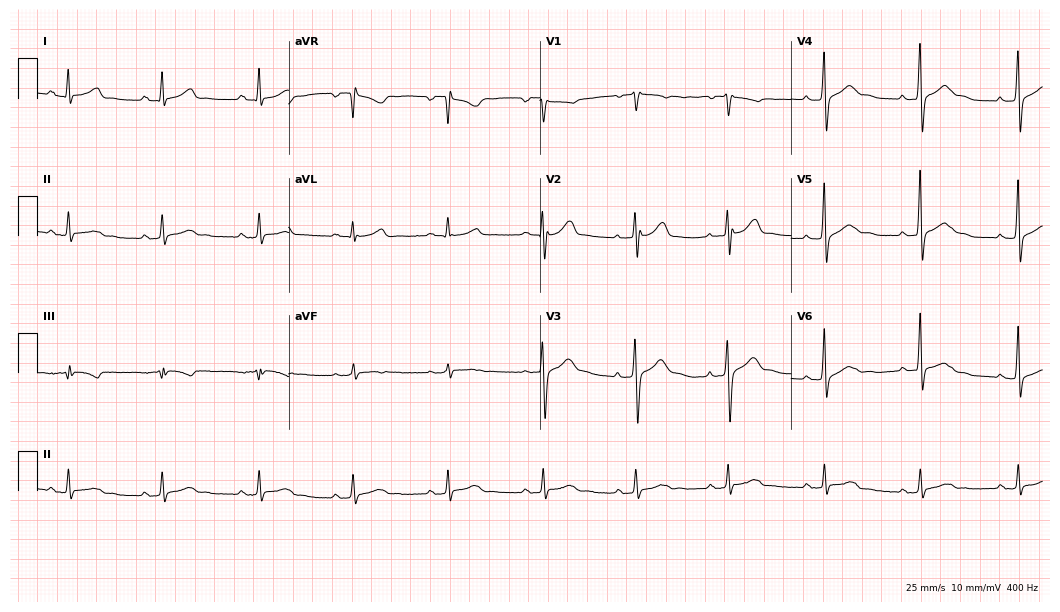
Electrocardiogram (10.2-second recording at 400 Hz), a man, 50 years old. Overall reading on record: normal ECG.